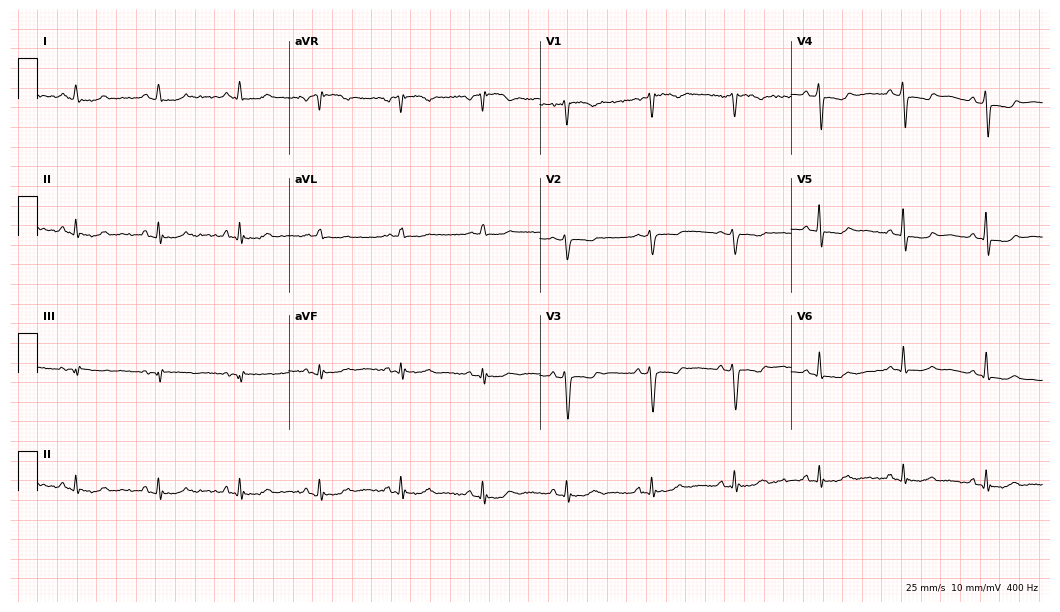
12-lead ECG from a 56-year-old female patient. No first-degree AV block, right bundle branch block (RBBB), left bundle branch block (LBBB), sinus bradycardia, atrial fibrillation (AF) or sinus tachycardia recorded for this tracing. Other findings, if any, are not listed.